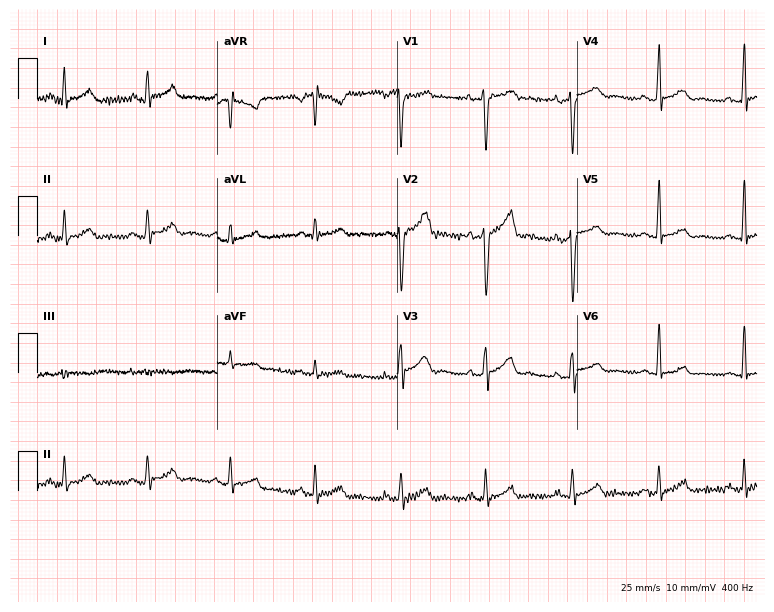
Resting 12-lead electrocardiogram (7.3-second recording at 400 Hz). Patient: a male, 41 years old. Read as a normal ECG.